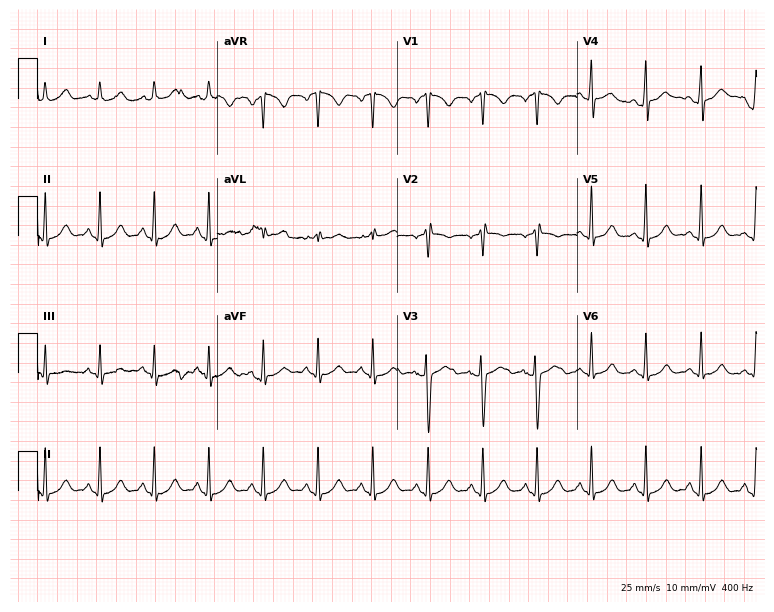
ECG — a woman, 35 years old. Findings include sinus tachycardia (a sinus rate of 100 beats per minute or more).